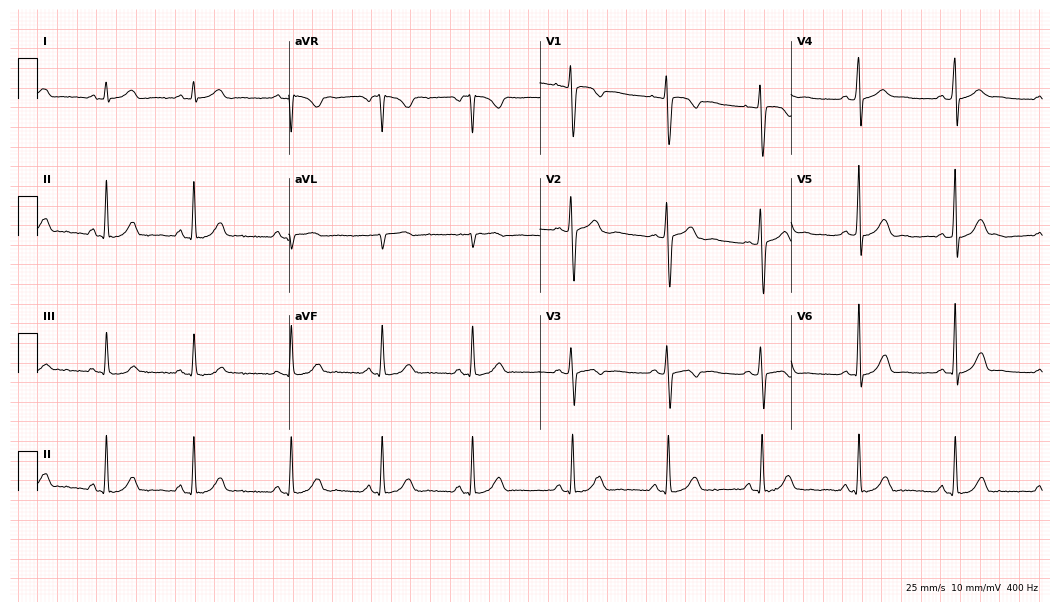
ECG (10.2-second recording at 400 Hz) — a woman, 17 years old. Labelled as a normal ECG.